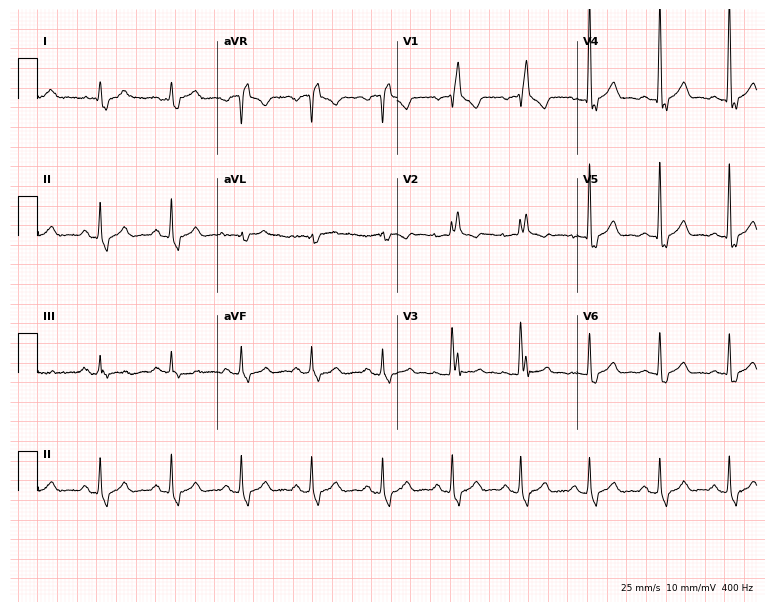
Electrocardiogram (7.3-second recording at 400 Hz), a man, 58 years old. Interpretation includes right bundle branch block.